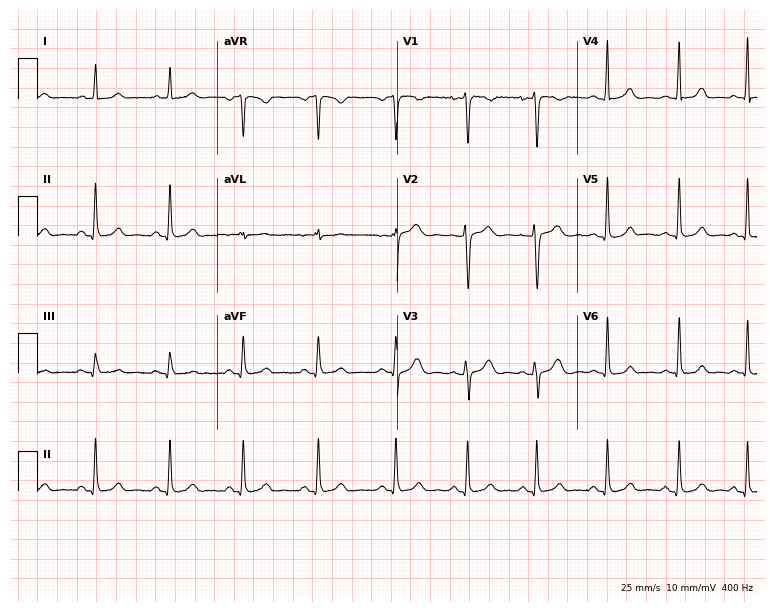
12-lead ECG from a female patient, 30 years old. Screened for six findings — first-degree AV block, right bundle branch block, left bundle branch block, sinus bradycardia, atrial fibrillation, sinus tachycardia — none is recorded.